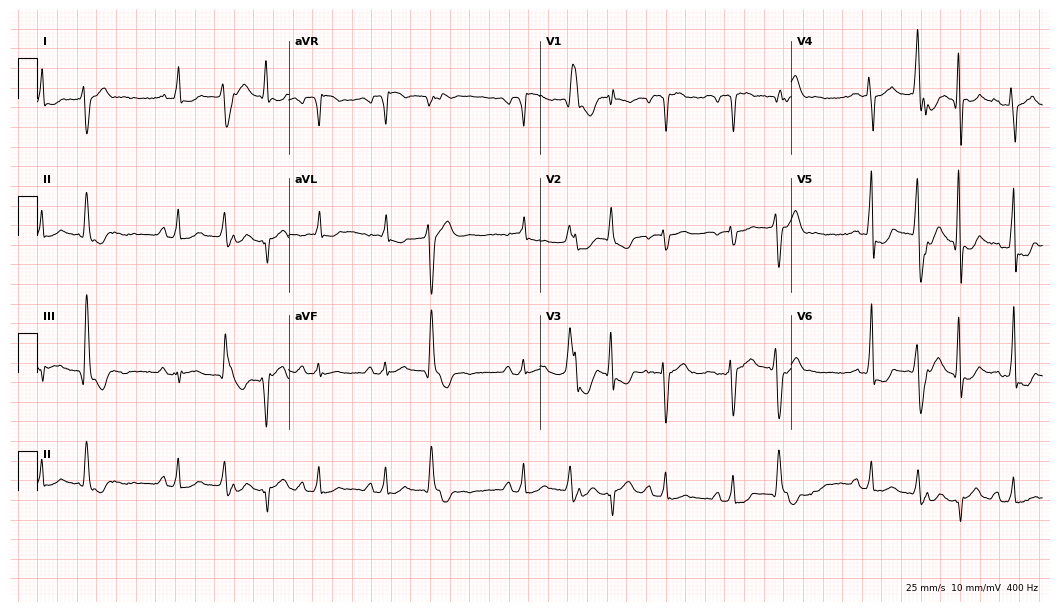
Resting 12-lead electrocardiogram. Patient: a male, 56 years old. None of these six findings is recorded: first-degree AV block, right bundle branch block (RBBB), left bundle branch block (LBBB), sinus bradycardia, atrial fibrillation (AF), sinus tachycardia.